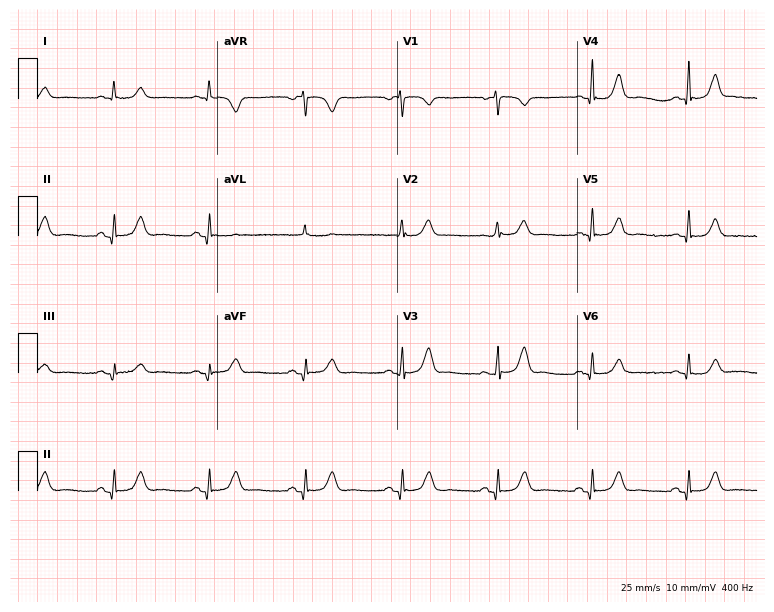
Resting 12-lead electrocardiogram. Patient: a female, 65 years old. Read as a normal ECG.